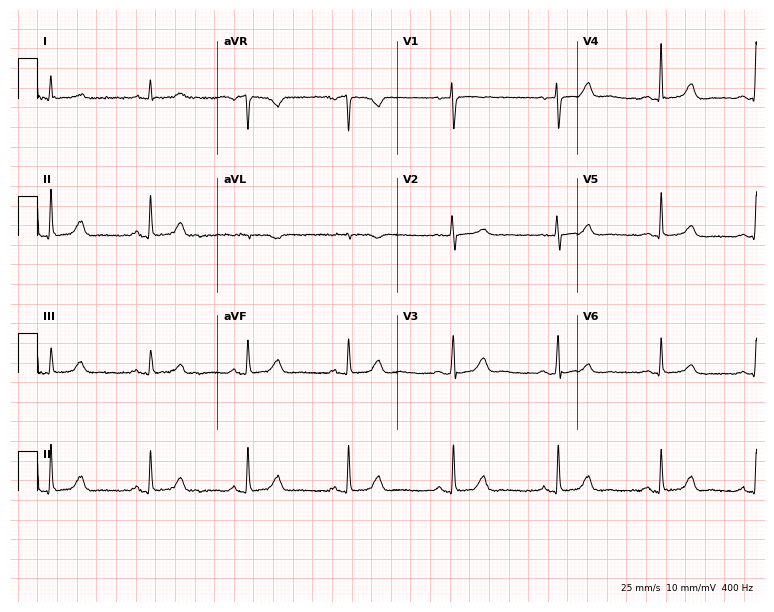
12-lead ECG from a 59-year-old female patient. Labelled as a normal ECG.